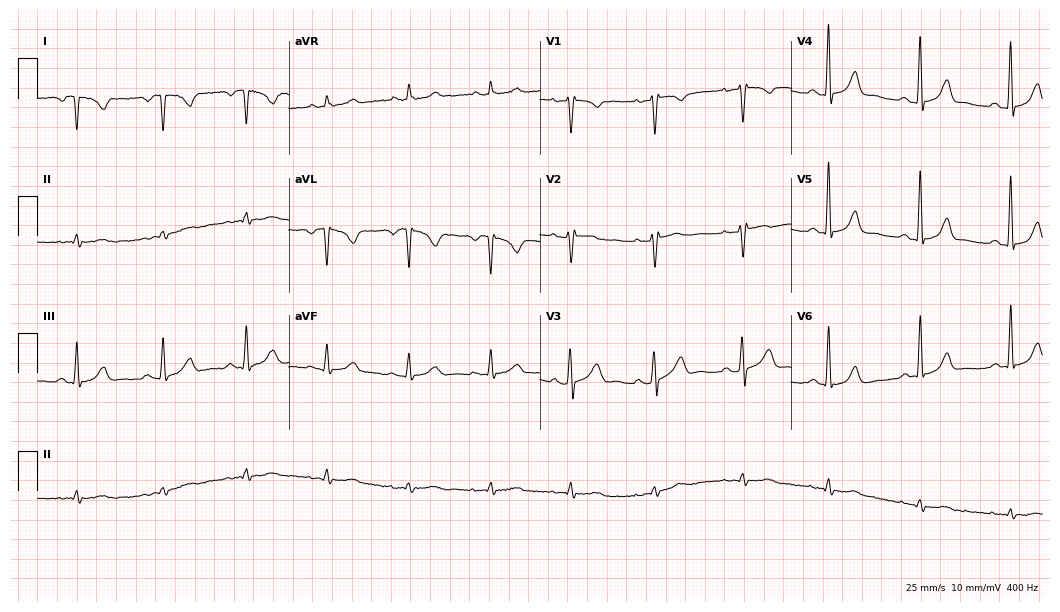
12-lead ECG from a woman, 46 years old. No first-degree AV block, right bundle branch block, left bundle branch block, sinus bradycardia, atrial fibrillation or sinus tachycardia recorded for this tracing.